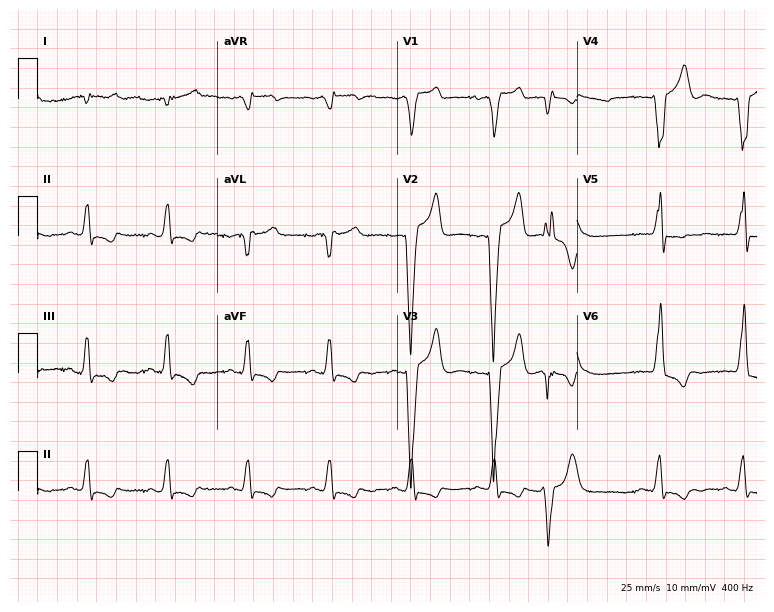
Standard 12-lead ECG recorded from a woman, 72 years old. None of these six findings is recorded: first-degree AV block, right bundle branch block, left bundle branch block, sinus bradycardia, atrial fibrillation, sinus tachycardia.